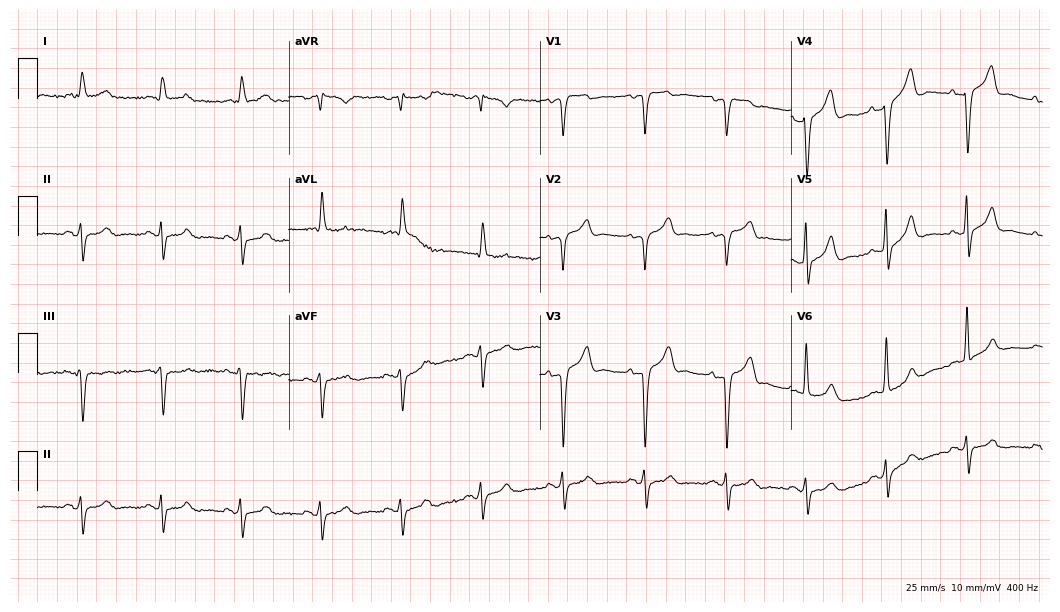
12-lead ECG from a male patient, 76 years old (10.2-second recording at 400 Hz). No first-degree AV block, right bundle branch block, left bundle branch block, sinus bradycardia, atrial fibrillation or sinus tachycardia recorded for this tracing.